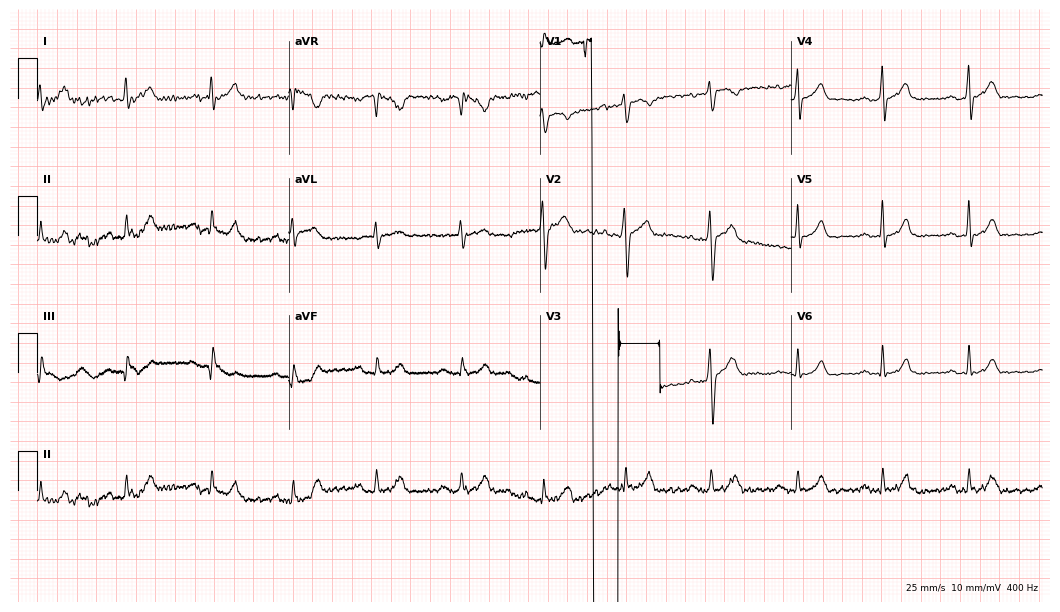
12-lead ECG from a man, 26 years old. No first-degree AV block, right bundle branch block (RBBB), left bundle branch block (LBBB), sinus bradycardia, atrial fibrillation (AF) or sinus tachycardia recorded for this tracing.